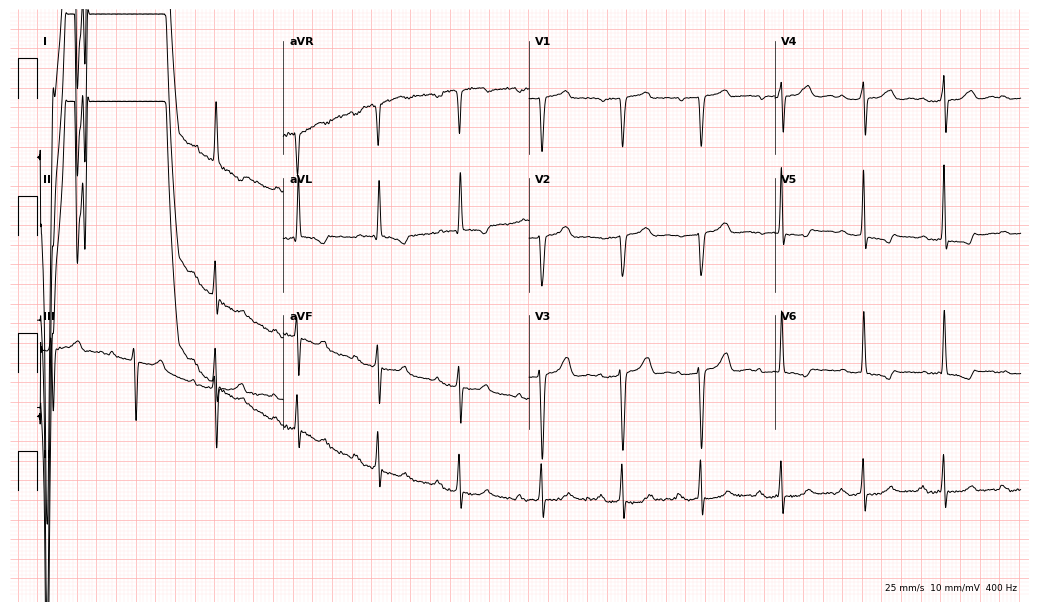
ECG — a female patient, 60 years old. Screened for six findings — first-degree AV block, right bundle branch block, left bundle branch block, sinus bradycardia, atrial fibrillation, sinus tachycardia — none is recorded. Only these six findings were labelled.